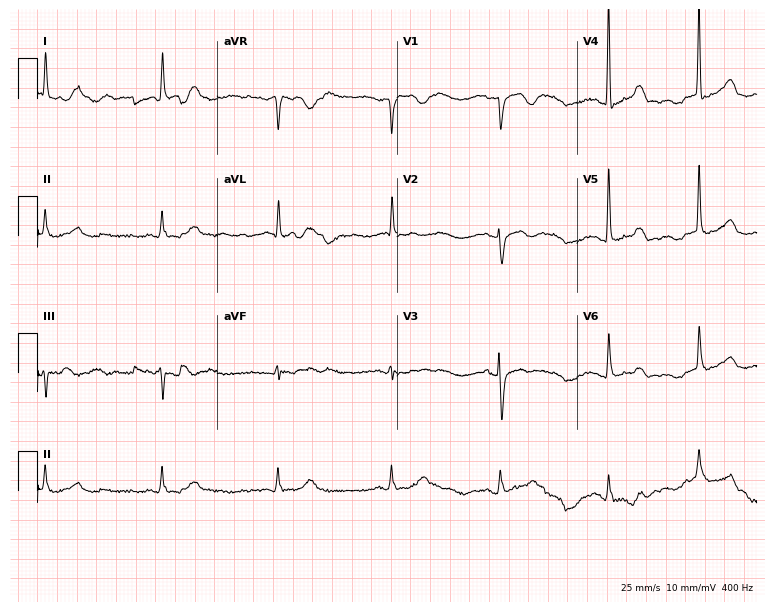
Electrocardiogram, an 85-year-old female. Of the six screened findings (first-degree AV block, right bundle branch block, left bundle branch block, sinus bradycardia, atrial fibrillation, sinus tachycardia), none is recorded. Findings outside these six are not listed.